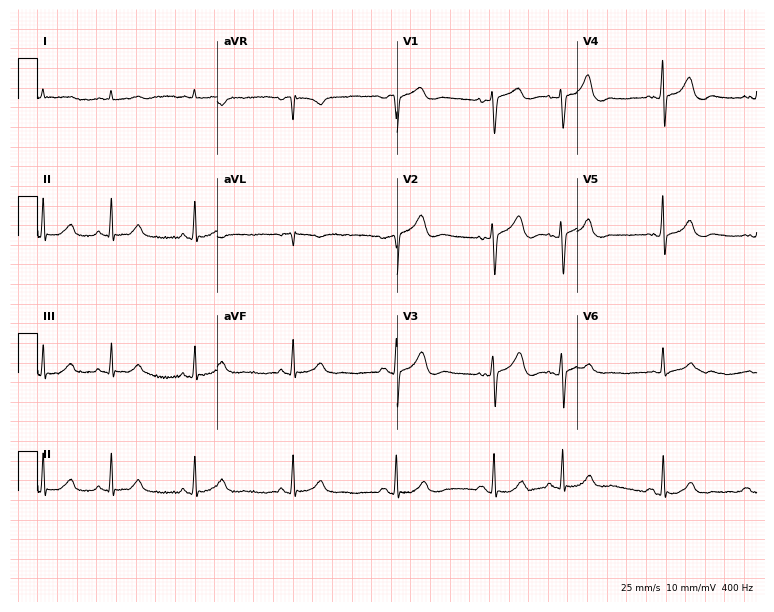
Electrocardiogram, a 79-year-old male patient. Overall reading on record: normal ECG.